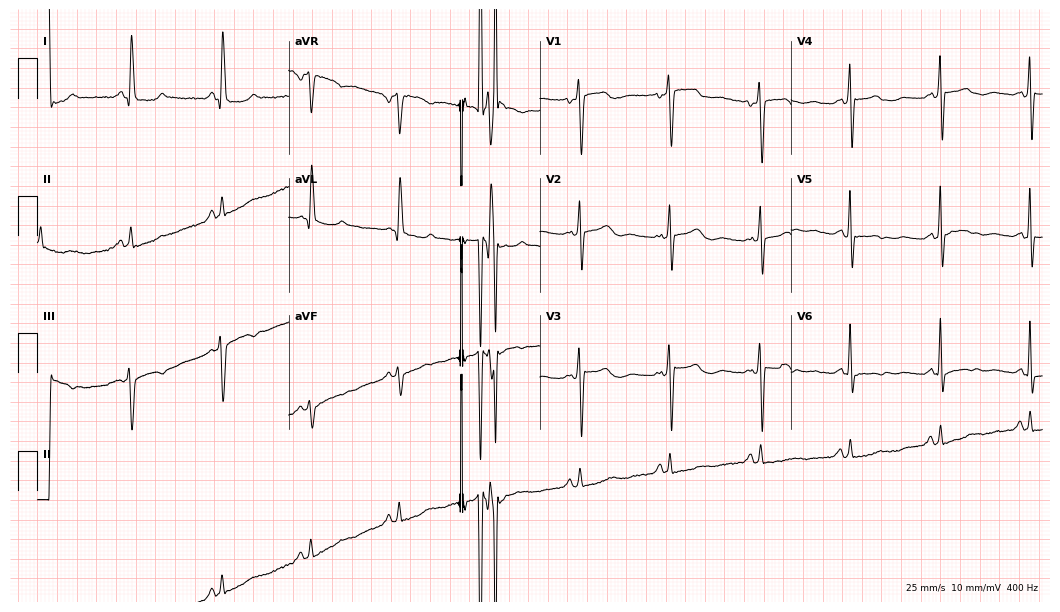
12-lead ECG from a 73-year-old female patient. No first-degree AV block, right bundle branch block, left bundle branch block, sinus bradycardia, atrial fibrillation or sinus tachycardia recorded for this tracing.